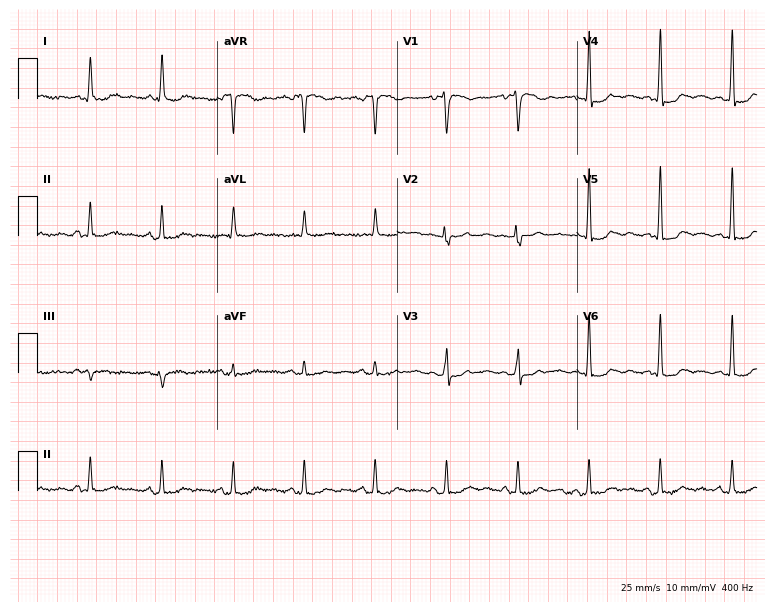
12-lead ECG (7.3-second recording at 400 Hz) from a female, 62 years old. Labelled as a normal ECG.